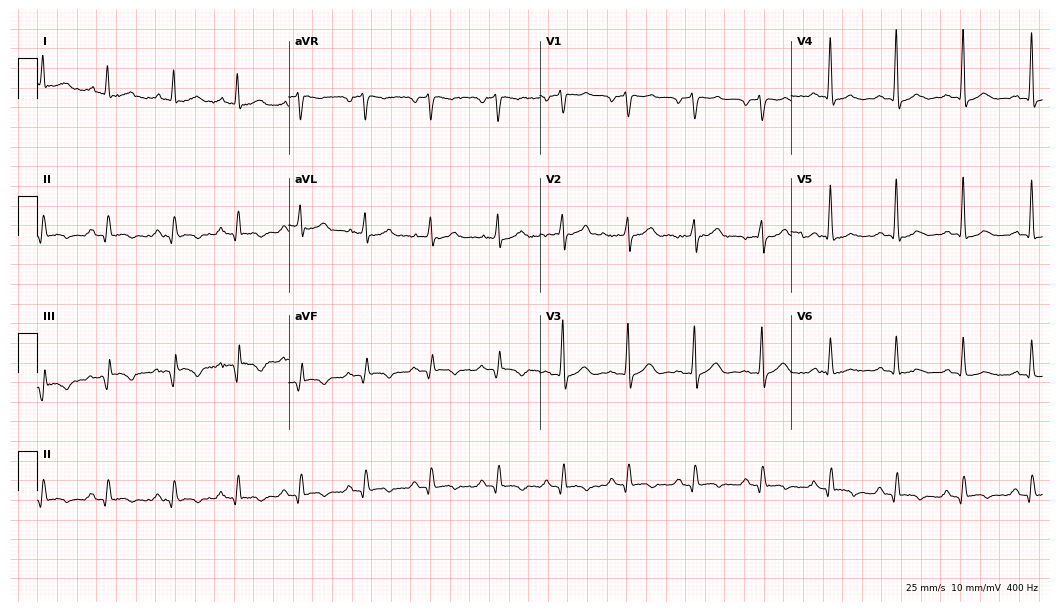
12-lead ECG from a 57-year-old male (10.2-second recording at 400 Hz). Recorded interpretation: within normal limits.